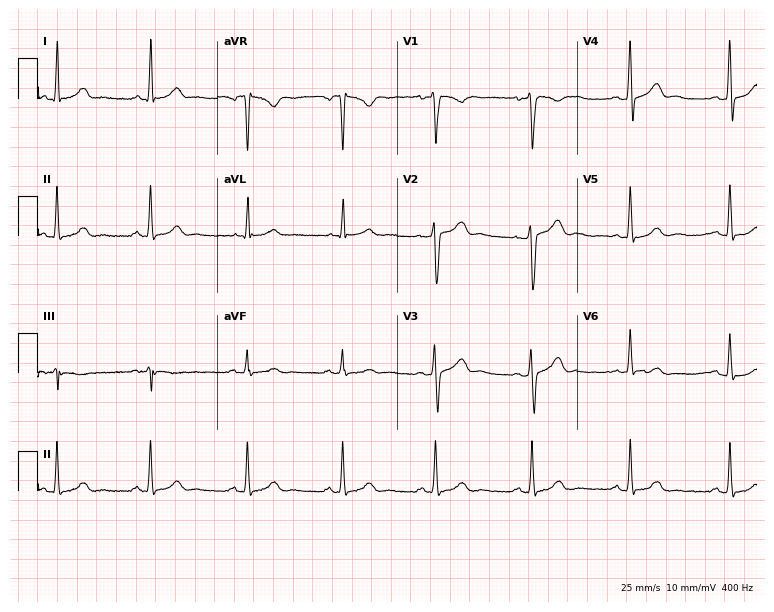
ECG (7.3-second recording at 400 Hz) — a male patient, 27 years old. Labelled as a normal ECG.